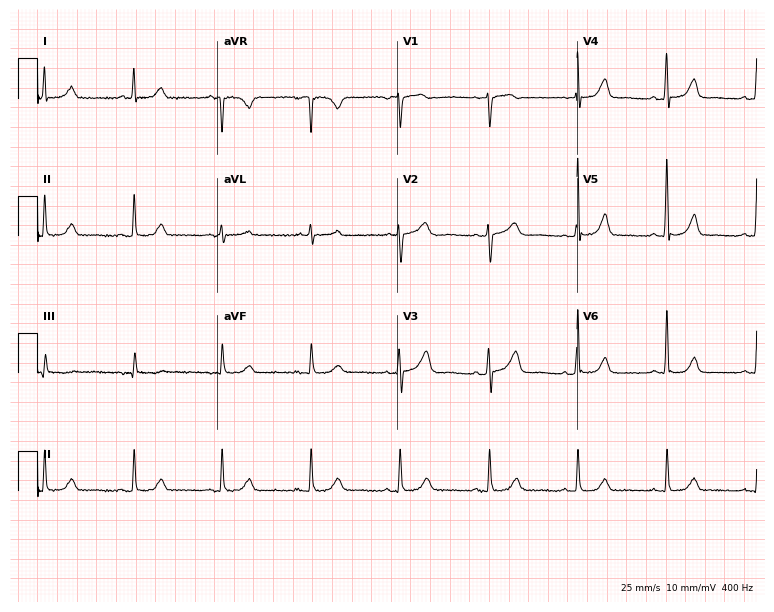
Standard 12-lead ECG recorded from a female, 58 years old (7.3-second recording at 400 Hz). Read as a normal ECG.